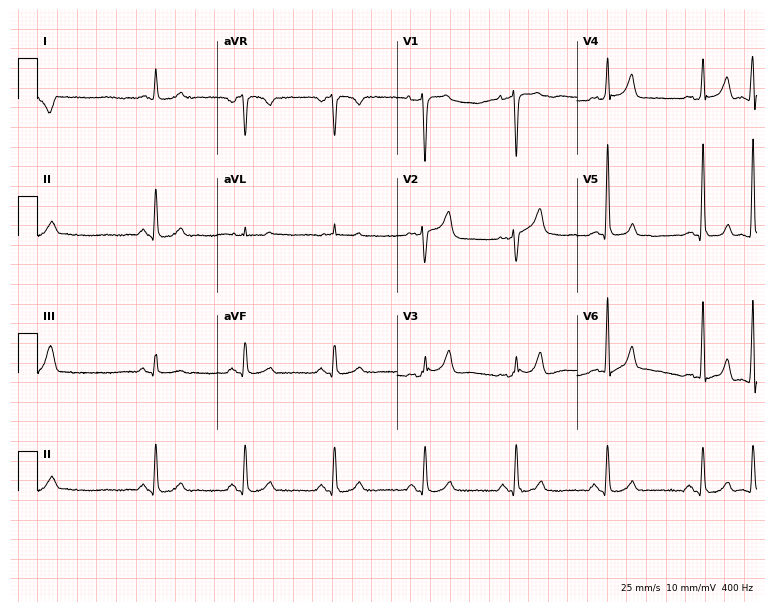
12-lead ECG from a 48-year-old female patient (7.3-second recording at 400 Hz). No first-degree AV block, right bundle branch block, left bundle branch block, sinus bradycardia, atrial fibrillation or sinus tachycardia recorded for this tracing. Only these six findings were labelled.